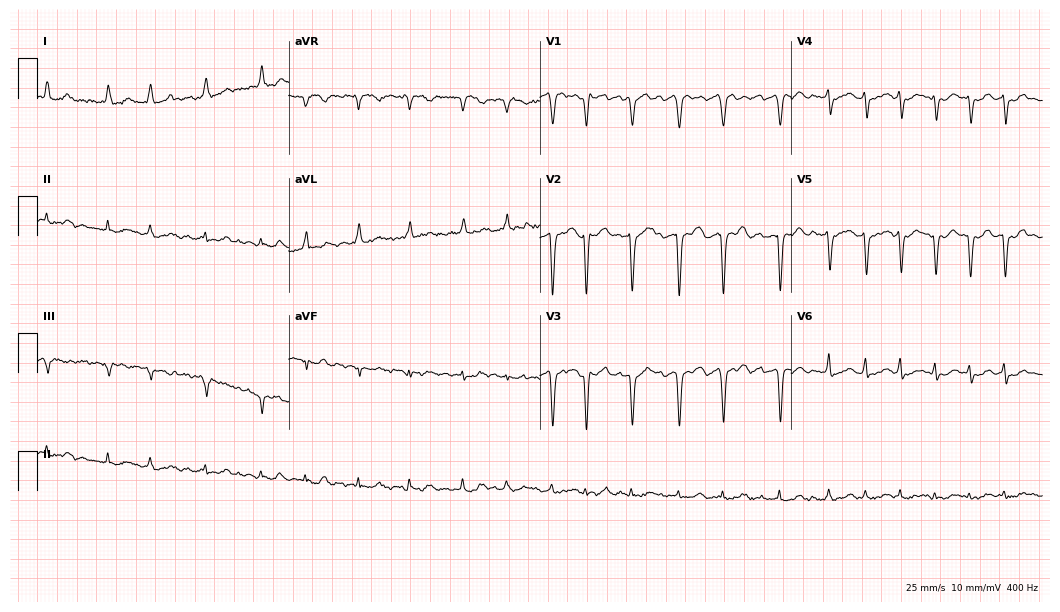
Resting 12-lead electrocardiogram. Patient: an 81-year-old woman. The tracing shows atrial fibrillation.